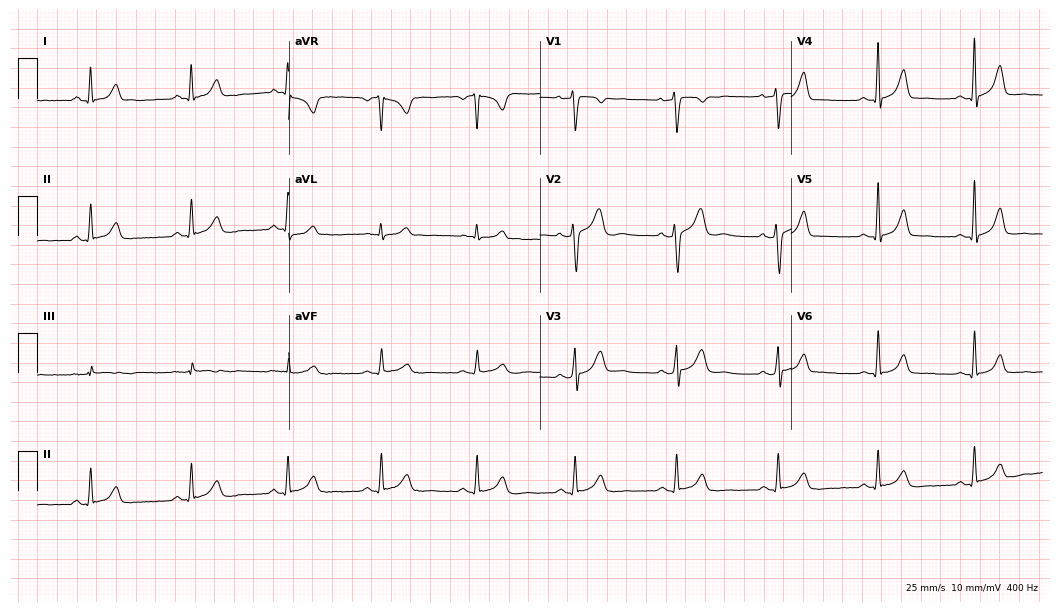
12-lead ECG from a 36-year-old female patient (10.2-second recording at 400 Hz). Recorded interpretation: within normal limits.